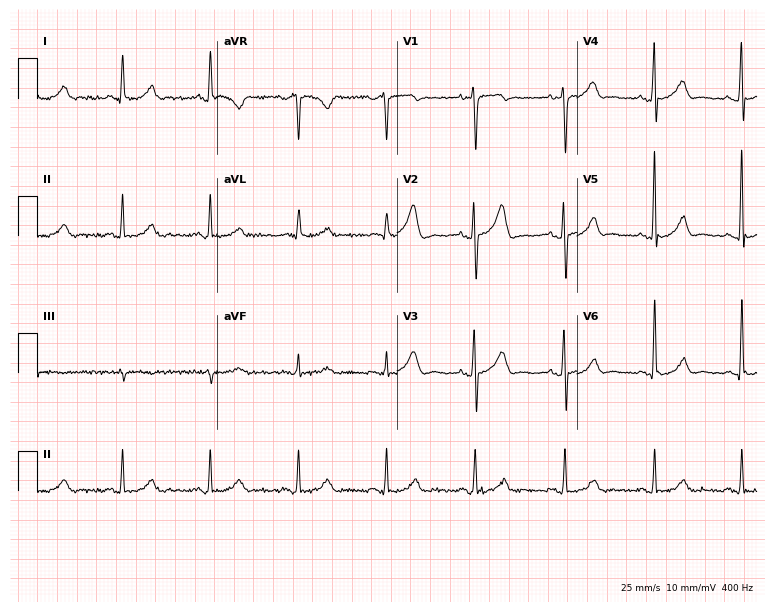
Standard 12-lead ECG recorded from a 51-year-old male patient. Read as a normal ECG.